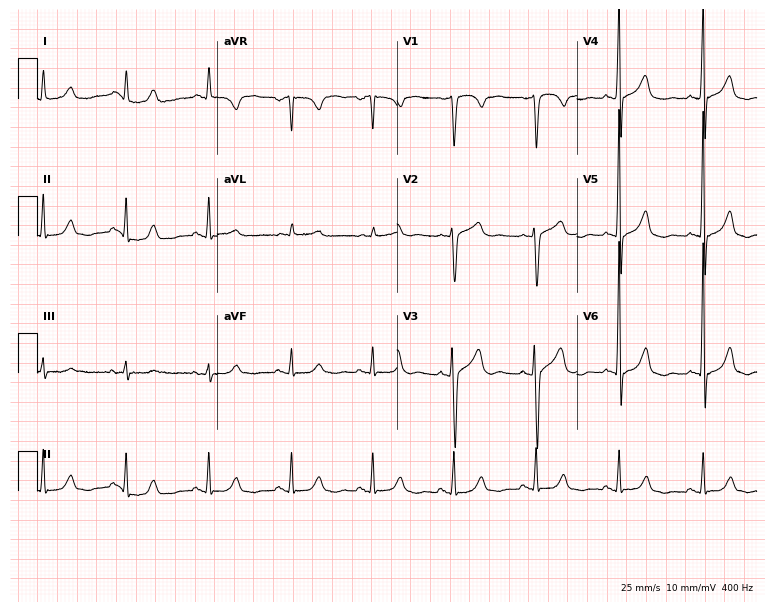
12-lead ECG from a 49-year-old male. Recorded interpretation: within normal limits.